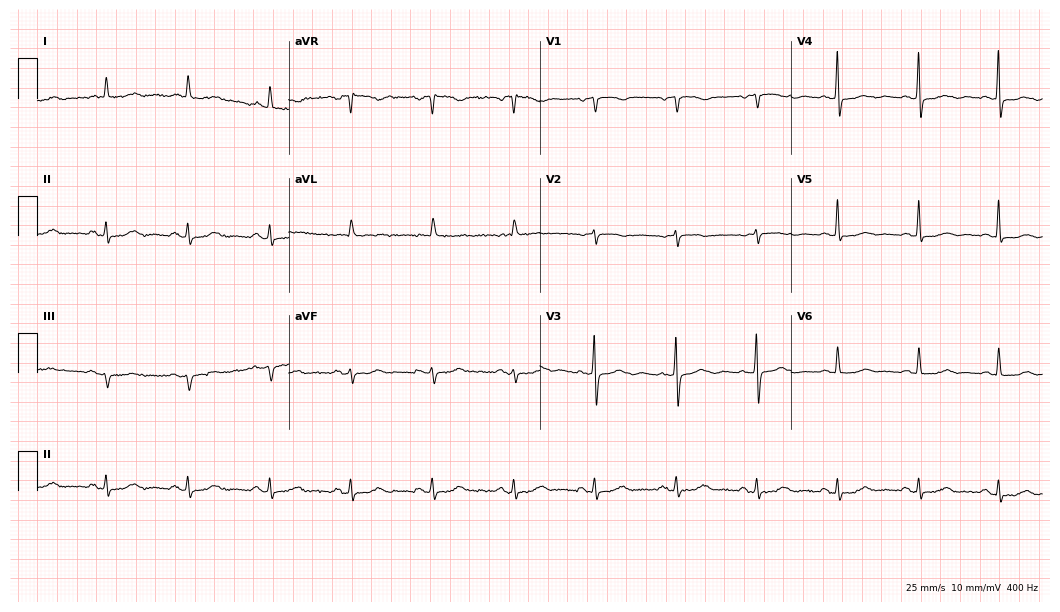
Electrocardiogram, a female patient, 74 years old. Of the six screened findings (first-degree AV block, right bundle branch block (RBBB), left bundle branch block (LBBB), sinus bradycardia, atrial fibrillation (AF), sinus tachycardia), none is recorded.